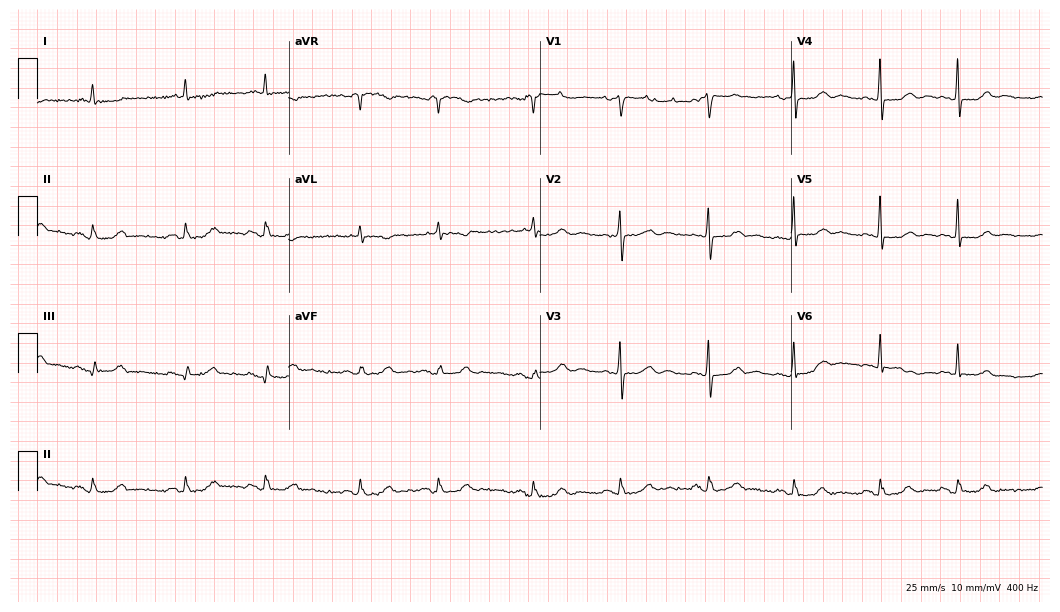
12-lead ECG from a woman, 80 years old. No first-degree AV block, right bundle branch block (RBBB), left bundle branch block (LBBB), sinus bradycardia, atrial fibrillation (AF) or sinus tachycardia recorded for this tracing.